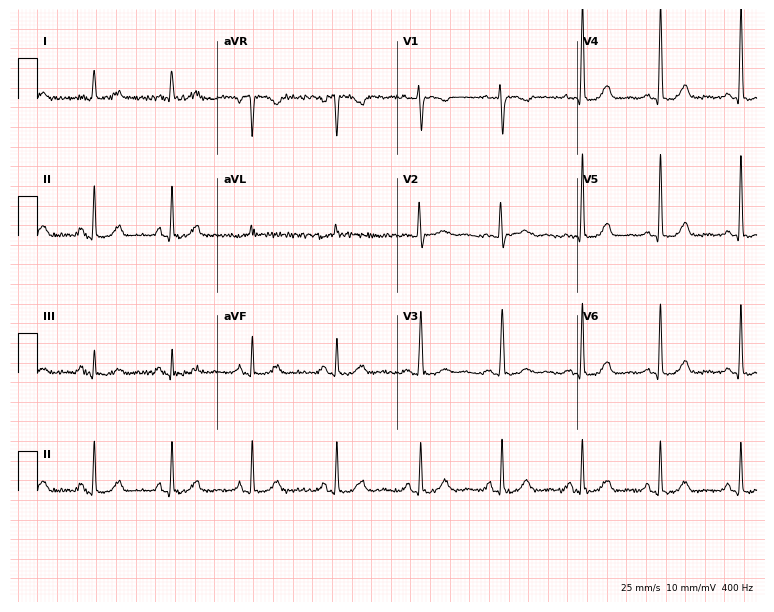
12-lead ECG (7.3-second recording at 400 Hz) from a 58-year-old female. Screened for six findings — first-degree AV block, right bundle branch block, left bundle branch block, sinus bradycardia, atrial fibrillation, sinus tachycardia — none is recorded. Only these six findings were labelled.